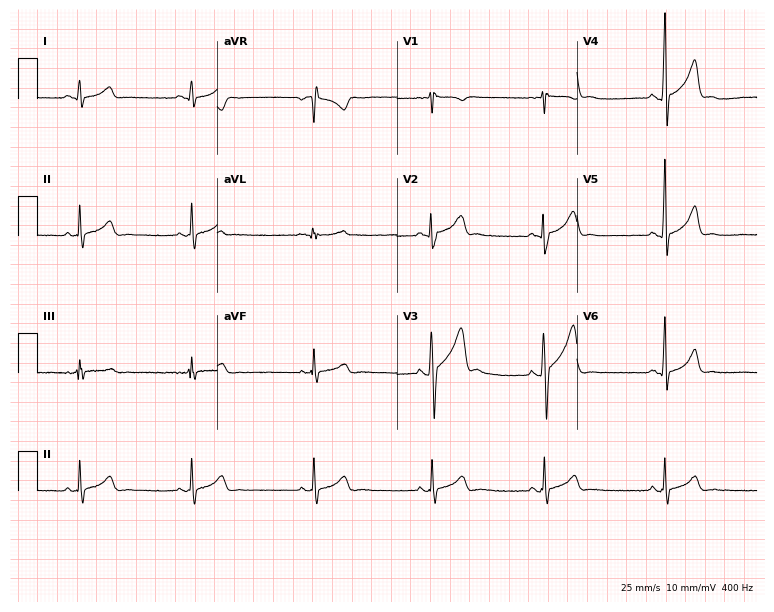
ECG — a 31-year-old male patient. Findings include sinus bradycardia (a sinus rate of 50 beats per minute or less).